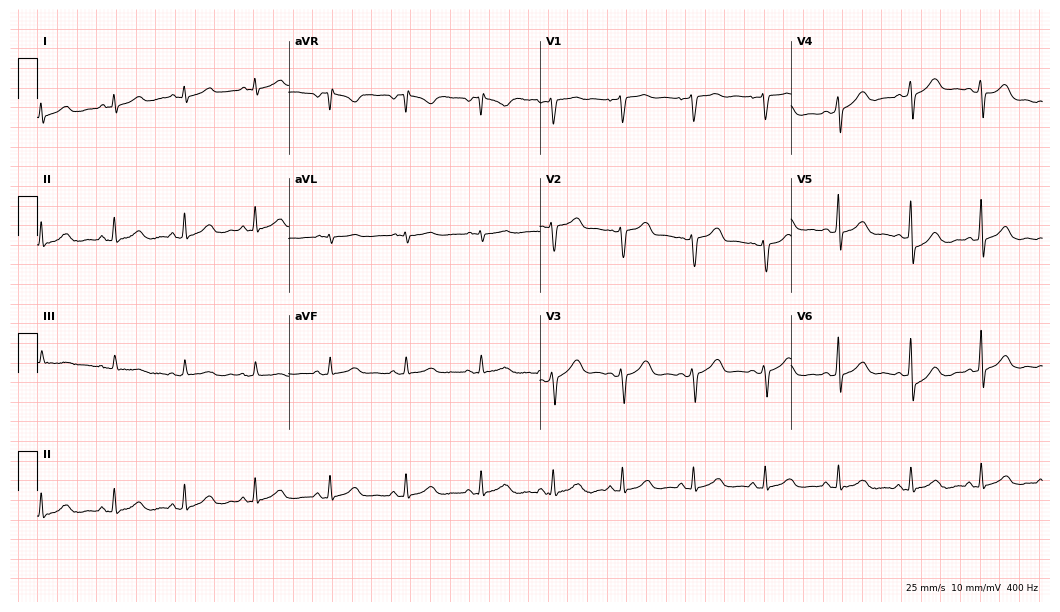
12-lead ECG from a 35-year-old female. Labelled as a normal ECG.